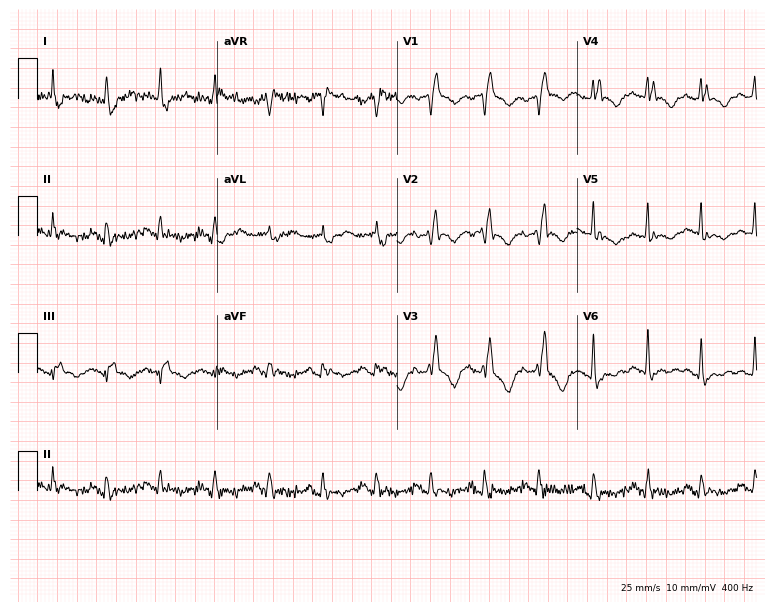
Standard 12-lead ECG recorded from a male patient, 69 years old (7.3-second recording at 400 Hz). The tracing shows right bundle branch block (RBBB).